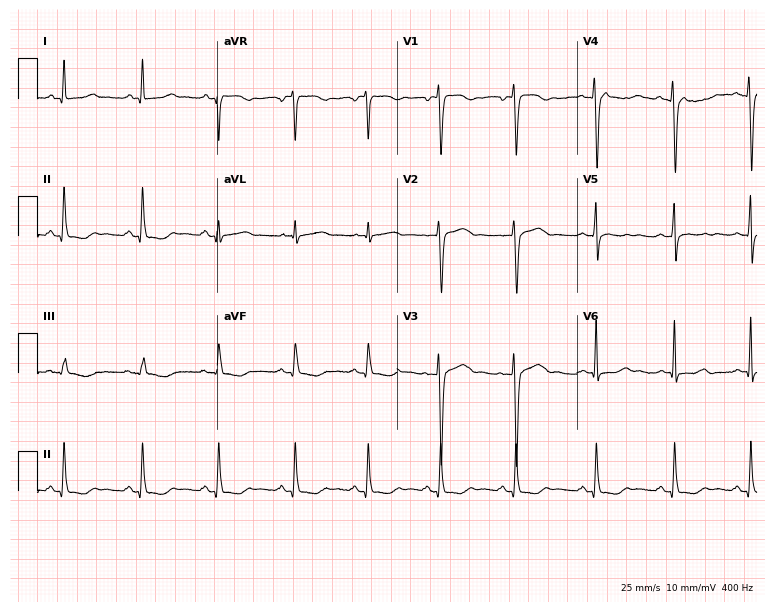
Resting 12-lead electrocardiogram. Patient: a 43-year-old woman. None of these six findings is recorded: first-degree AV block, right bundle branch block, left bundle branch block, sinus bradycardia, atrial fibrillation, sinus tachycardia.